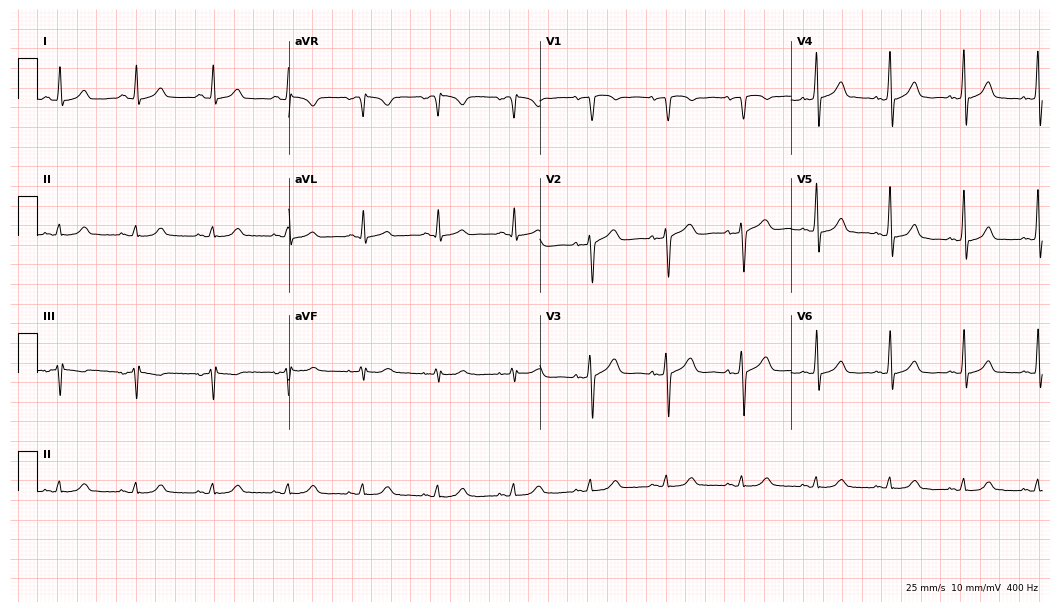
Electrocardiogram, a female, 54 years old. Overall reading on record: normal ECG.